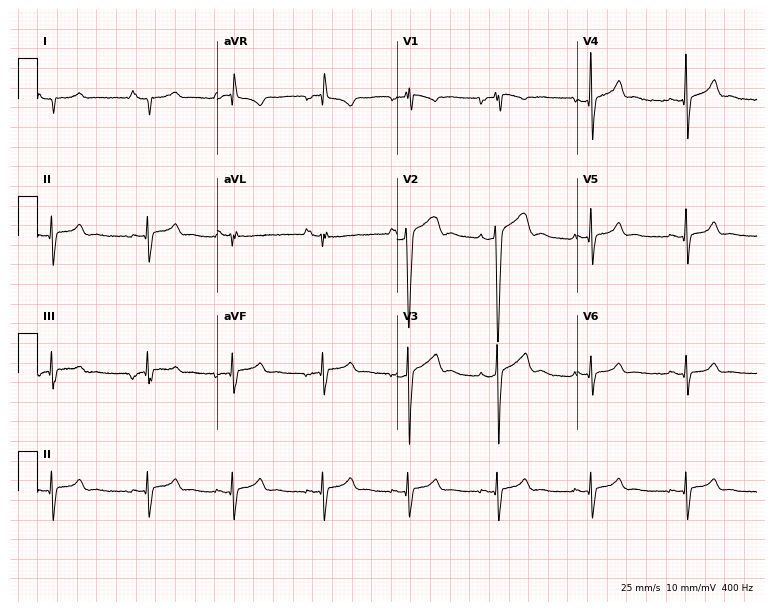
Resting 12-lead electrocardiogram. Patient: an 18-year-old man. None of these six findings is recorded: first-degree AV block, right bundle branch block (RBBB), left bundle branch block (LBBB), sinus bradycardia, atrial fibrillation (AF), sinus tachycardia. Findings outside these six are not listed.